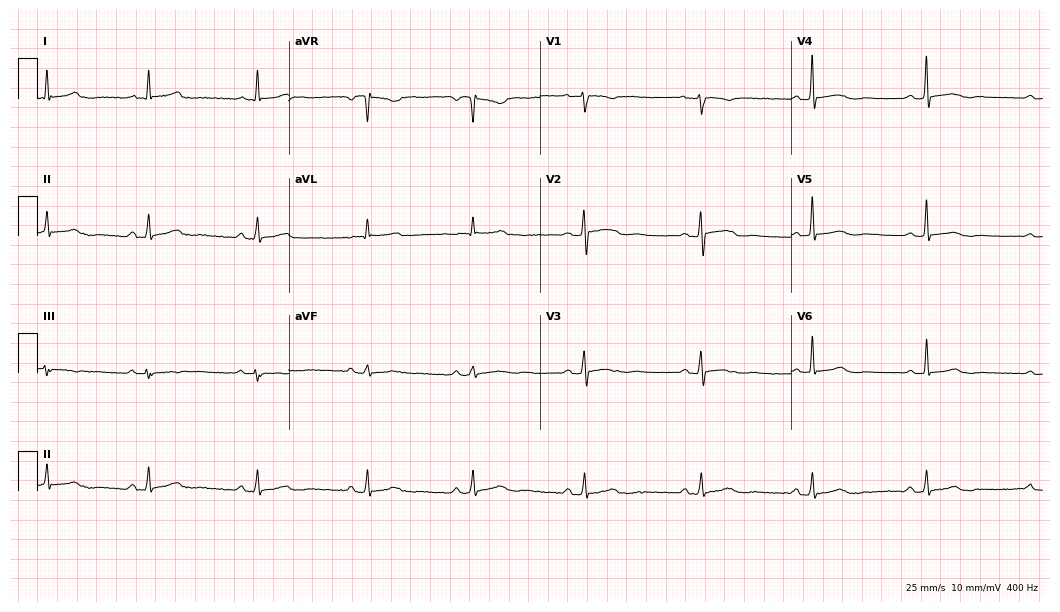
ECG — a female patient, 63 years old. Screened for six findings — first-degree AV block, right bundle branch block, left bundle branch block, sinus bradycardia, atrial fibrillation, sinus tachycardia — none is recorded.